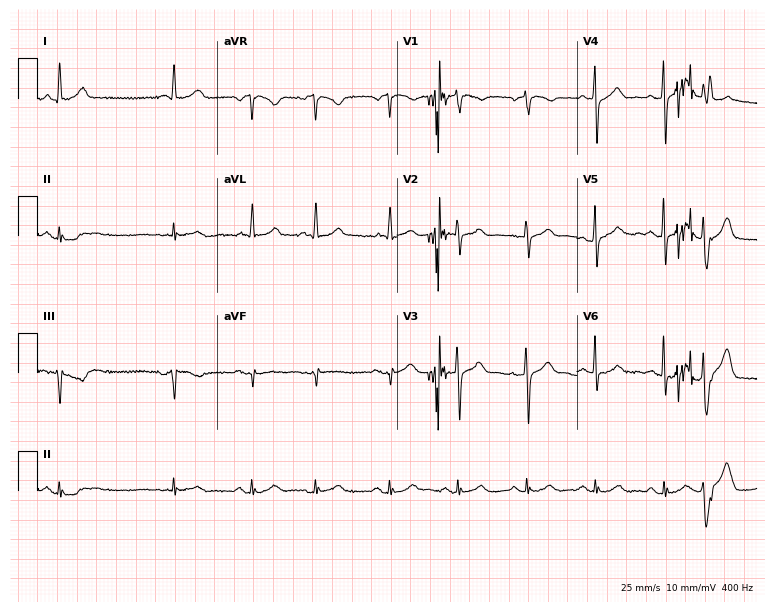
Resting 12-lead electrocardiogram. Patient: a man, 71 years old. None of these six findings is recorded: first-degree AV block, right bundle branch block, left bundle branch block, sinus bradycardia, atrial fibrillation, sinus tachycardia.